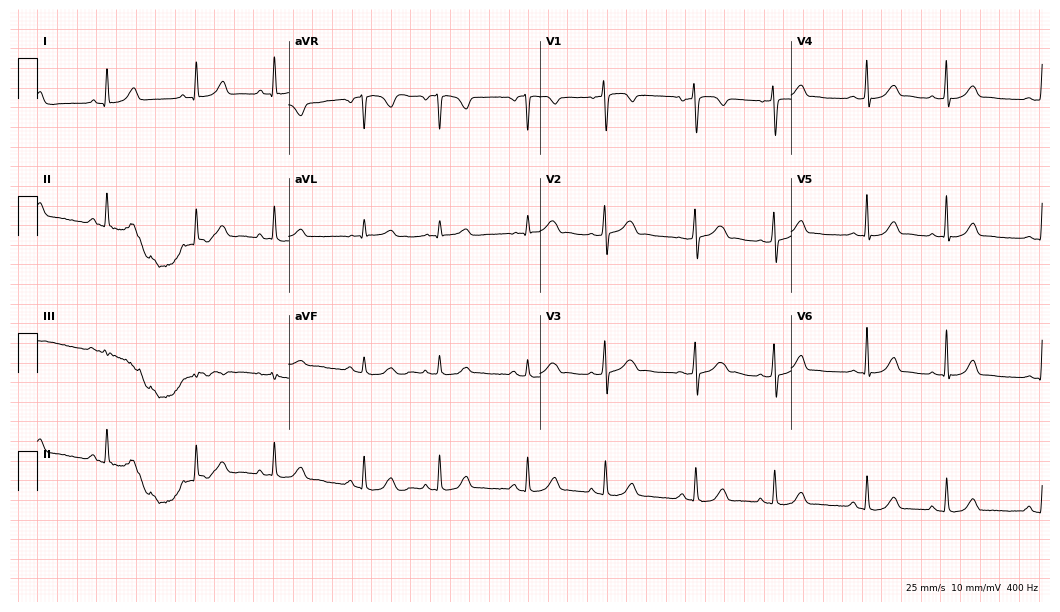
ECG — a female, 39 years old. Labelled as a normal ECG.